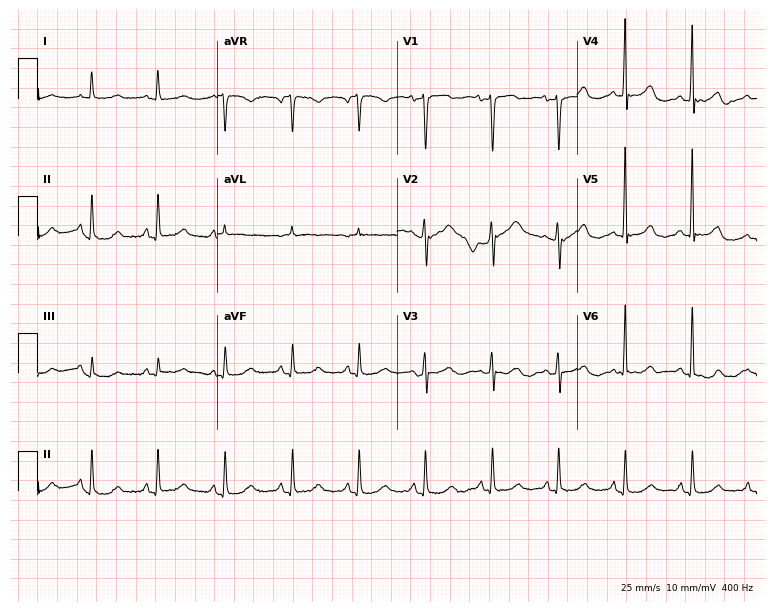
12-lead ECG (7.3-second recording at 400 Hz) from a 44-year-old female. Screened for six findings — first-degree AV block, right bundle branch block (RBBB), left bundle branch block (LBBB), sinus bradycardia, atrial fibrillation (AF), sinus tachycardia — none is recorded. Other findings, if any, are not listed.